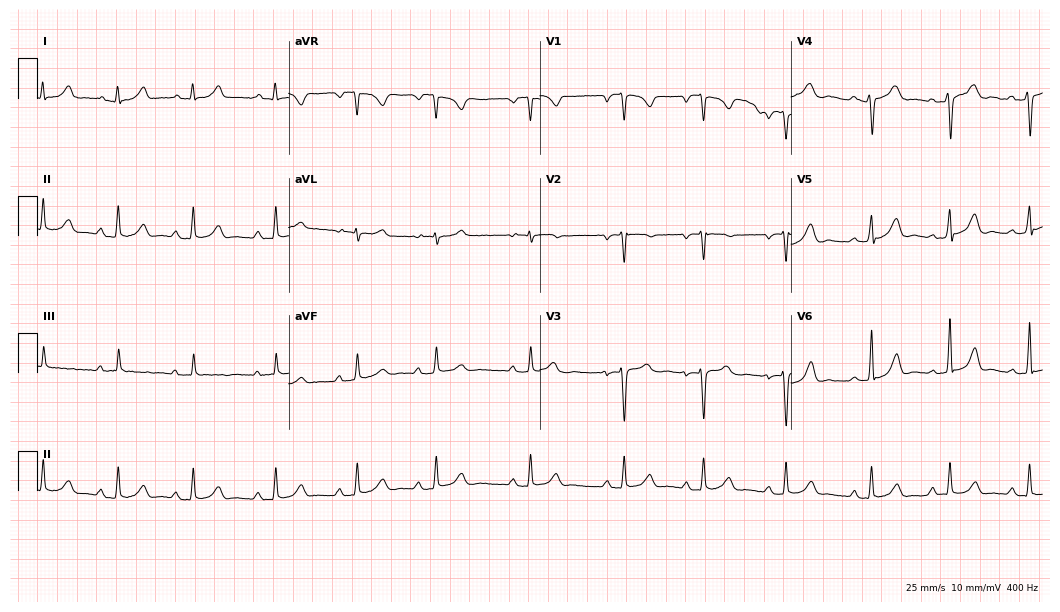
12-lead ECG (10.2-second recording at 400 Hz) from a female, 17 years old. Screened for six findings — first-degree AV block, right bundle branch block, left bundle branch block, sinus bradycardia, atrial fibrillation, sinus tachycardia — none is recorded. Findings outside these six are not listed.